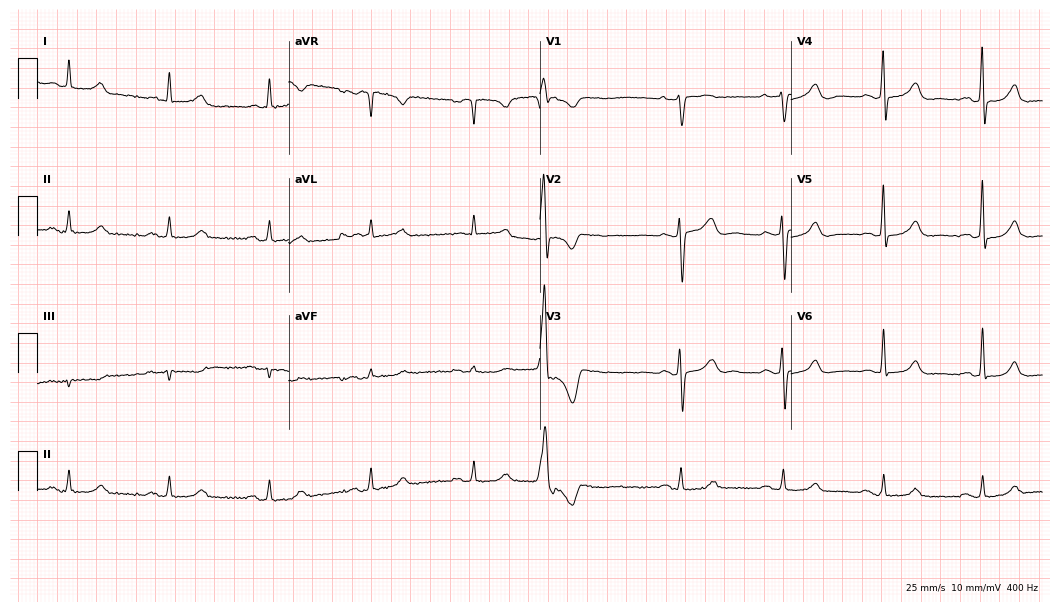
Electrocardiogram (10.2-second recording at 400 Hz), a 77-year-old woman. Overall reading on record: normal ECG.